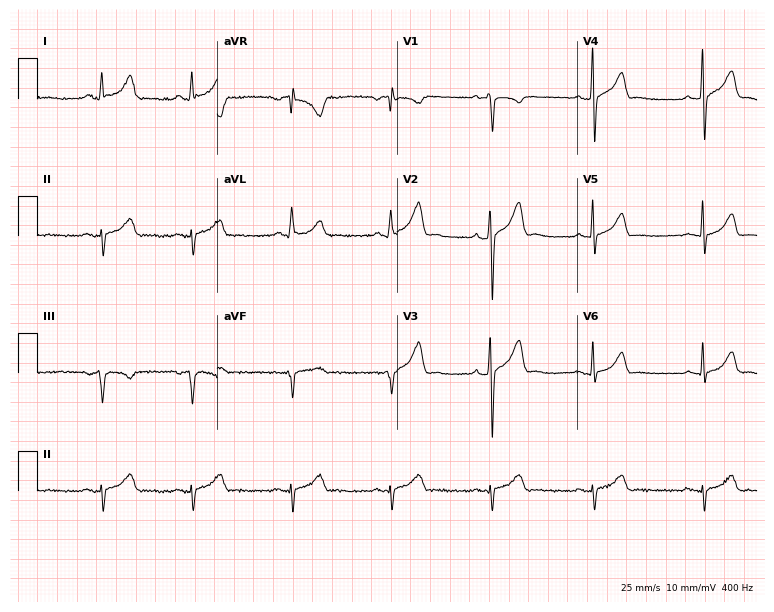
12-lead ECG from a 42-year-old male patient. Labelled as a normal ECG.